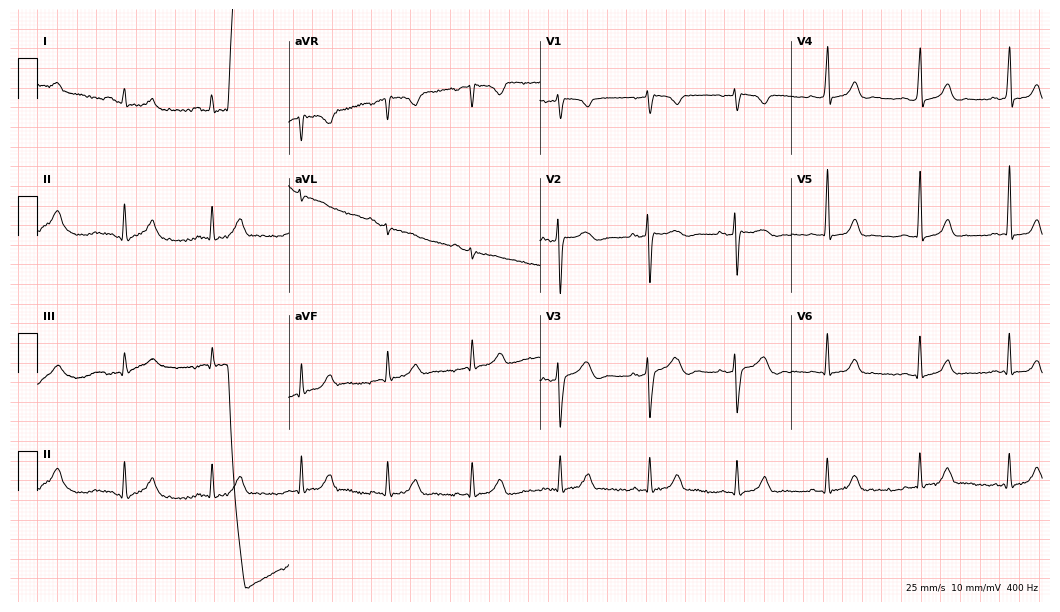
Resting 12-lead electrocardiogram (10.2-second recording at 400 Hz). Patient: a 21-year-old woman. Read as a normal ECG.